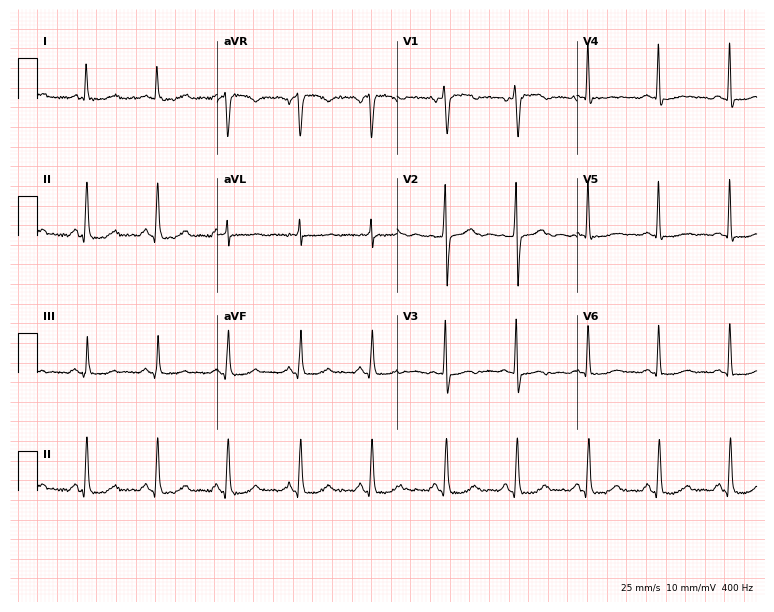
Electrocardiogram, a 61-year-old female patient. Overall reading on record: normal ECG.